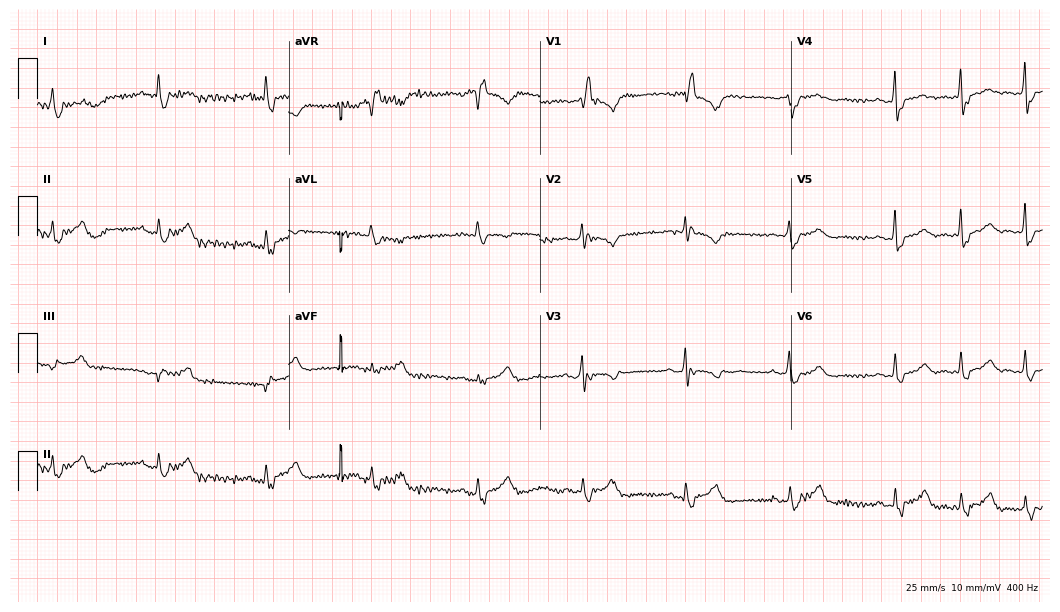
12-lead ECG from a female patient, 72 years old. No first-degree AV block, right bundle branch block, left bundle branch block, sinus bradycardia, atrial fibrillation or sinus tachycardia recorded for this tracing.